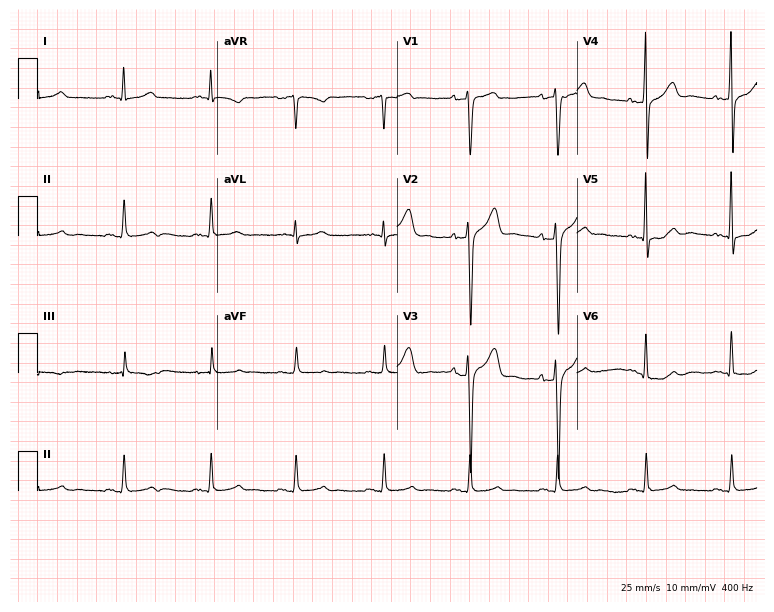
Resting 12-lead electrocardiogram. Patient: a man, 47 years old. None of these six findings is recorded: first-degree AV block, right bundle branch block, left bundle branch block, sinus bradycardia, atrial fibrillation, sinus tachycardia. Other findings, if any, are not listed.